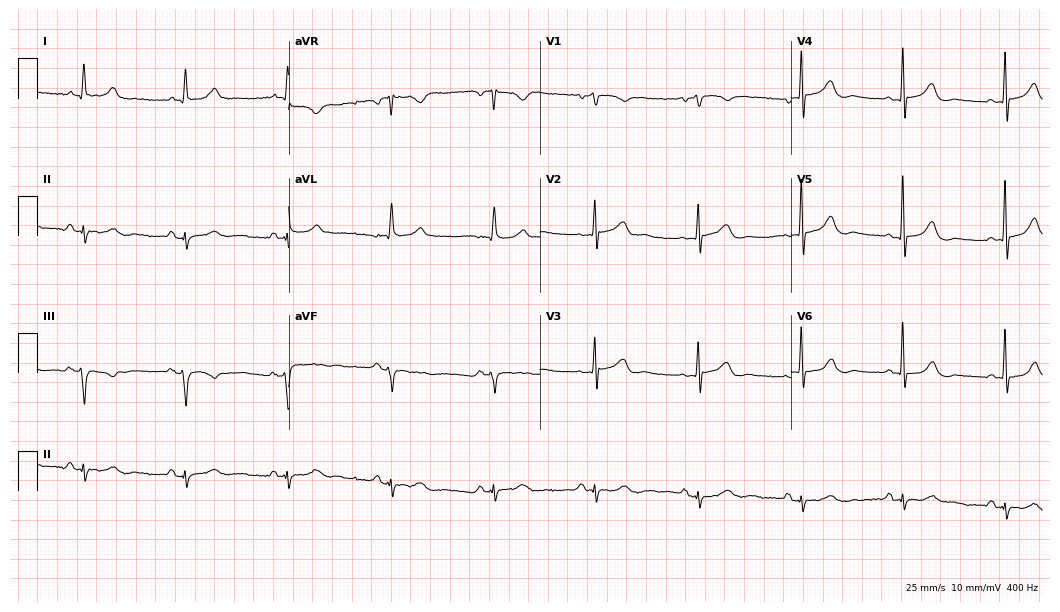
Electrocardiogram, a woman, 73 years old. Of the six screened findings (first-degree AV block, right bundle branch block (RBBB), left bundle branch block (LBBB), sinus bradycardia, atrial fibrillation (AF), sinus tachycardia), none is recorded.